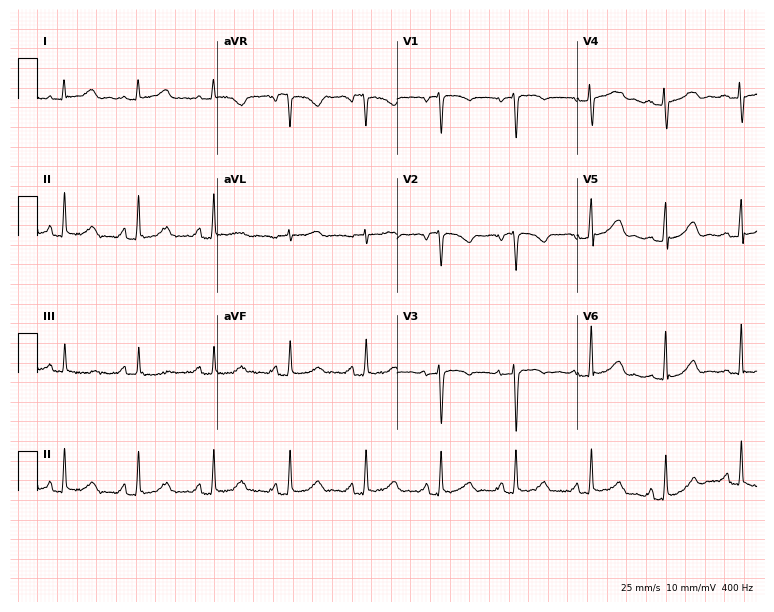
ECG (7.3-second recording at 400 Hz) — a female, 36 years old. Labelled as a normal ECG.